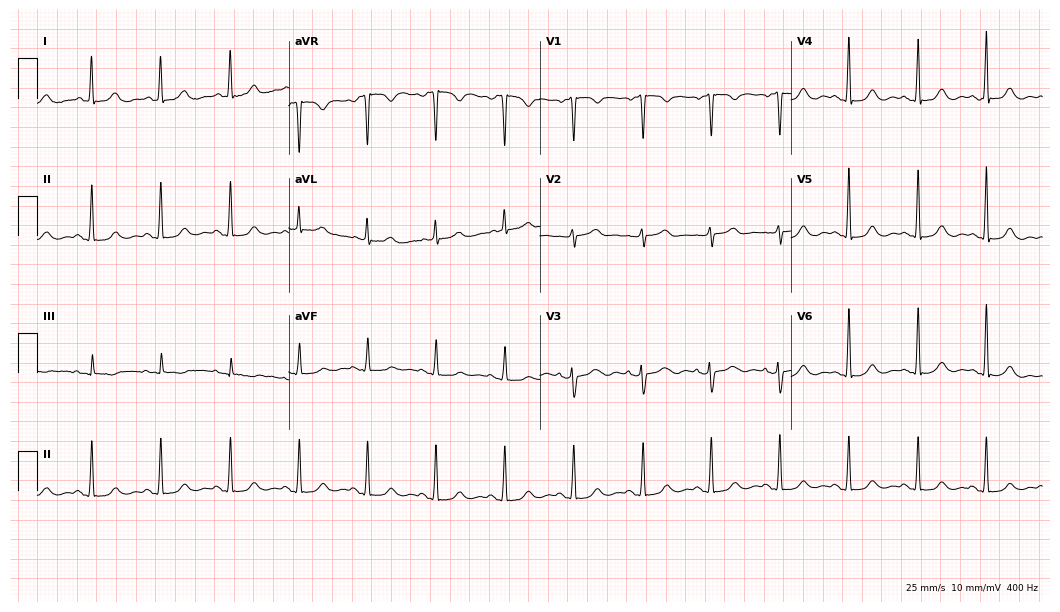
12-lead ECG (10.2-second recording at 400 Hz) from a female, 63 years old. Screened for six findings — first-degree AV block, right bundle branch block (RBBB), left bundle branch block (LBBB), sinus bradycardia, atrial fibrillation (AF), sinus tachycardia — none is recorded.